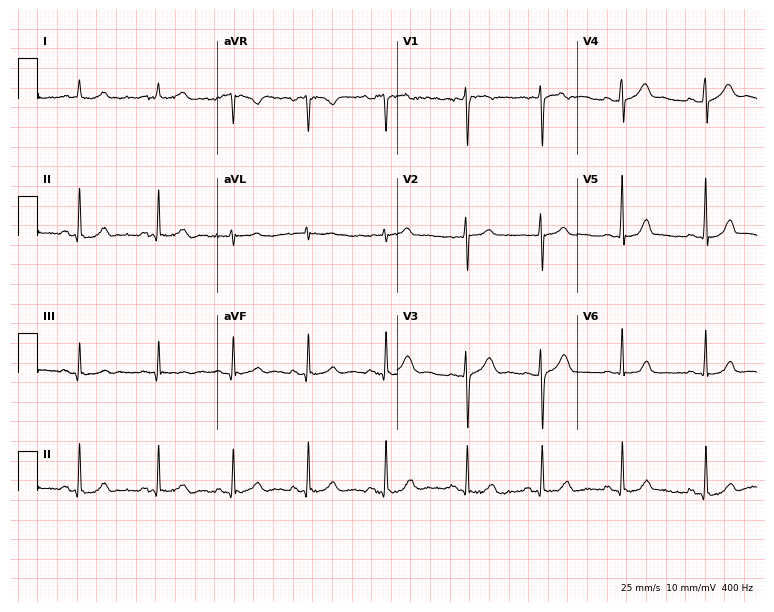
12-lead ECG from a female patient, 25 years old. No first-degree AV block, right bundle branch block (RBBB), left bundle branch block (LBBB), sinus bradycardia, atrial fibrillation (AF) or sinus tachycardia recorded for this tracing.